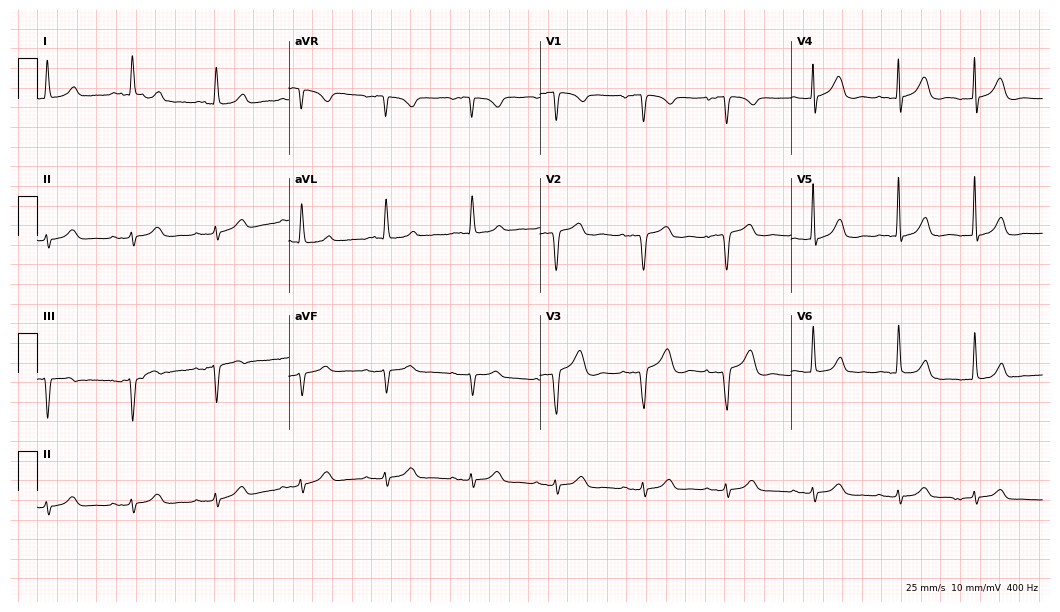
12-lead ECG from a female patient, 85 years old. No first-degree AV block, right bundle branch block, left bundle branch block, sinus bradycardia, atrial fibrillation or sinus tachycardia recorded for this tracing. Only these six findings were labelled.